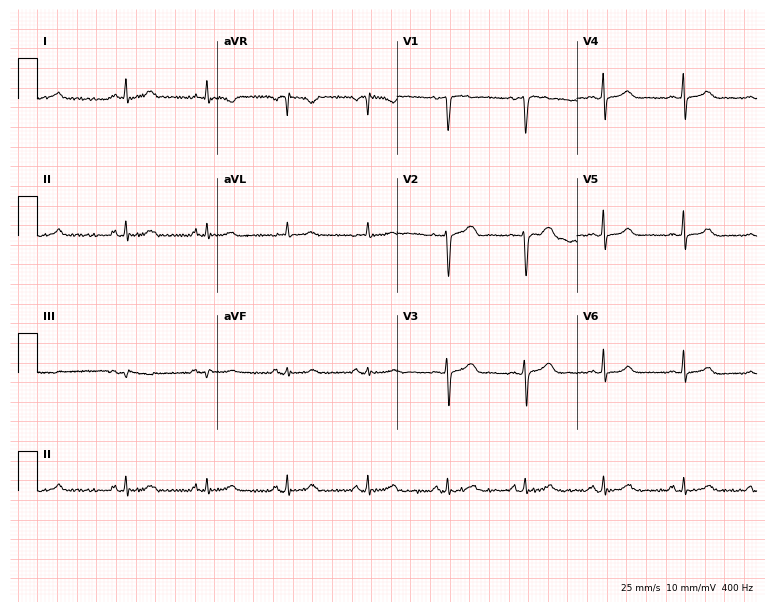
ECG — a female, 33 years old. Labelled as a normal ECG.